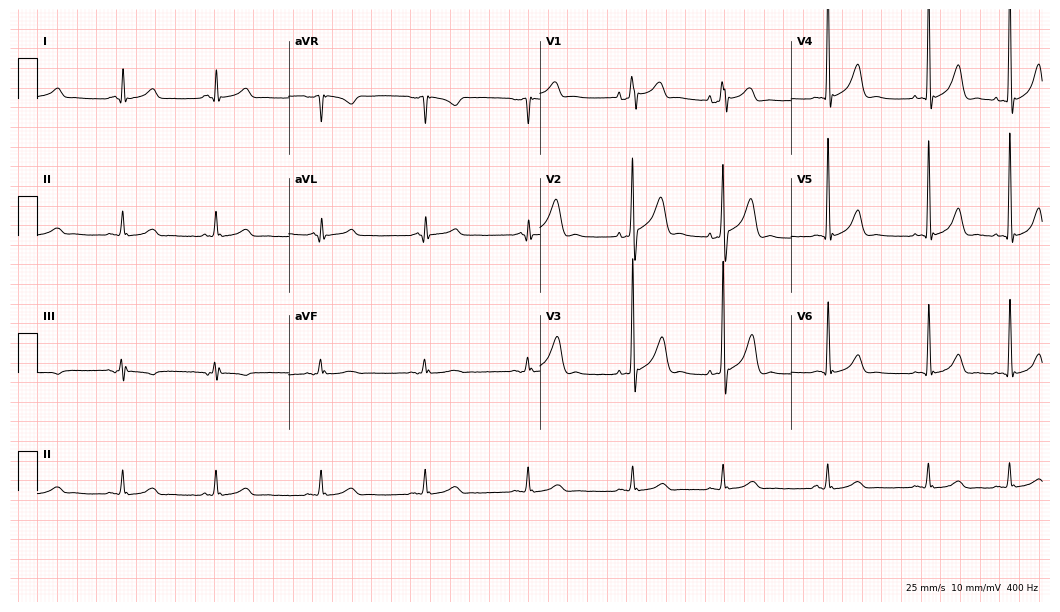
Standard 12-lead ECG recorded from a 71-year-old female. None of these six findings is recorded: first-degree AV block, right bundle branch block, left bundle branch block, sinus bradycardia, atrial fibrillation, sinus tachycardia.